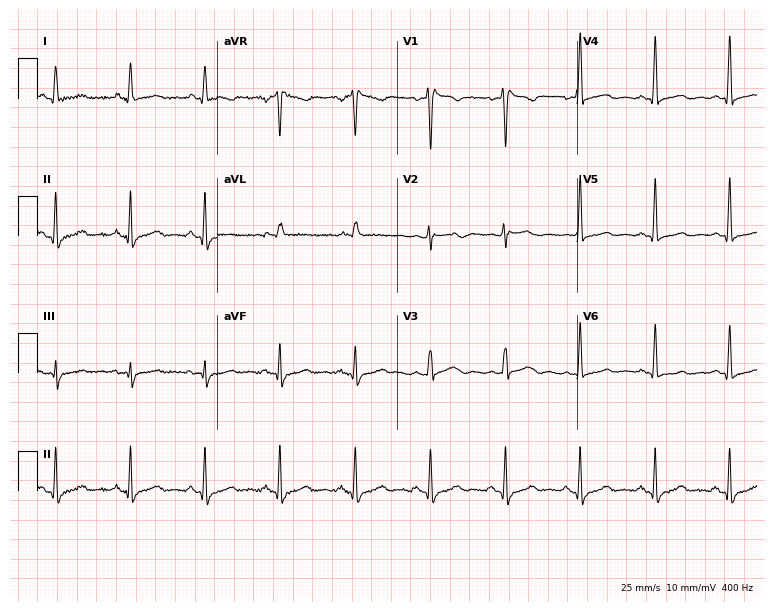
Resting 12-lead electrocardiogram. Patient: a 48-year-old female. None of these six findings is recorded: first-degree AV block, right bundle branch block (RBBB), left bundle branch block (LBBB), sinus bradycardia, atrial fibrillation (AF), sinus tachycardia.